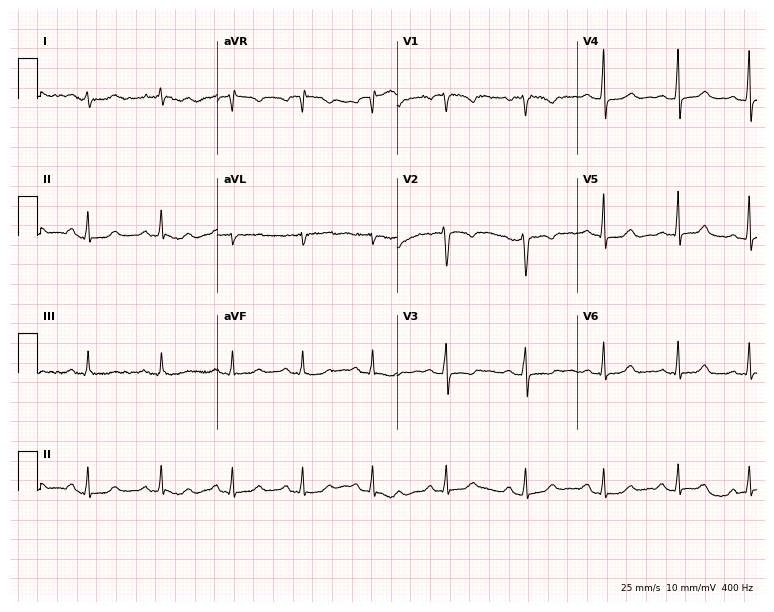
Resting 12-lead electrocardiogram (7.3-second recording at 400 Hz). Patient: a female, 26 years old. None of these six findings is recorded: first-degree AV block, right bundle branch block, left bundle branch block, sinus bradycardia, atrial fibrillation, sinus tachycardia.